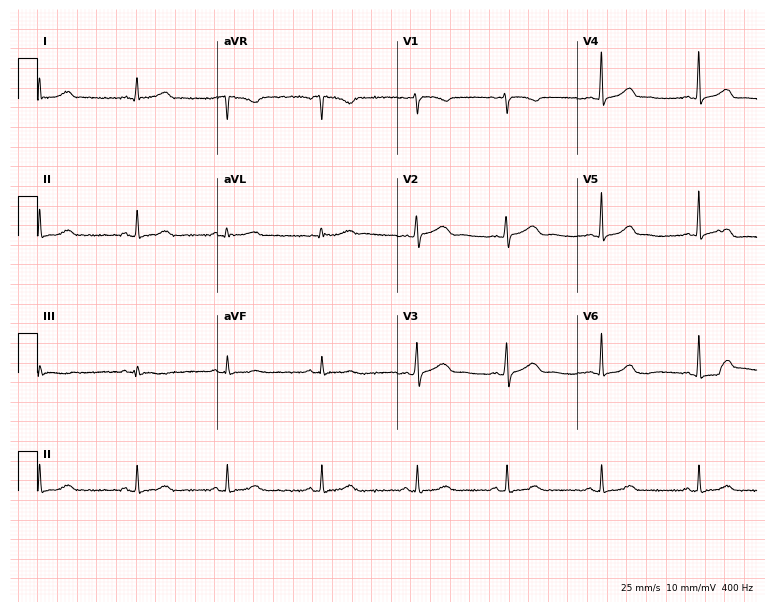
Resting 12-lead electrocardiogram. Patient: a 34-year-old female. Read as a normal ECG.